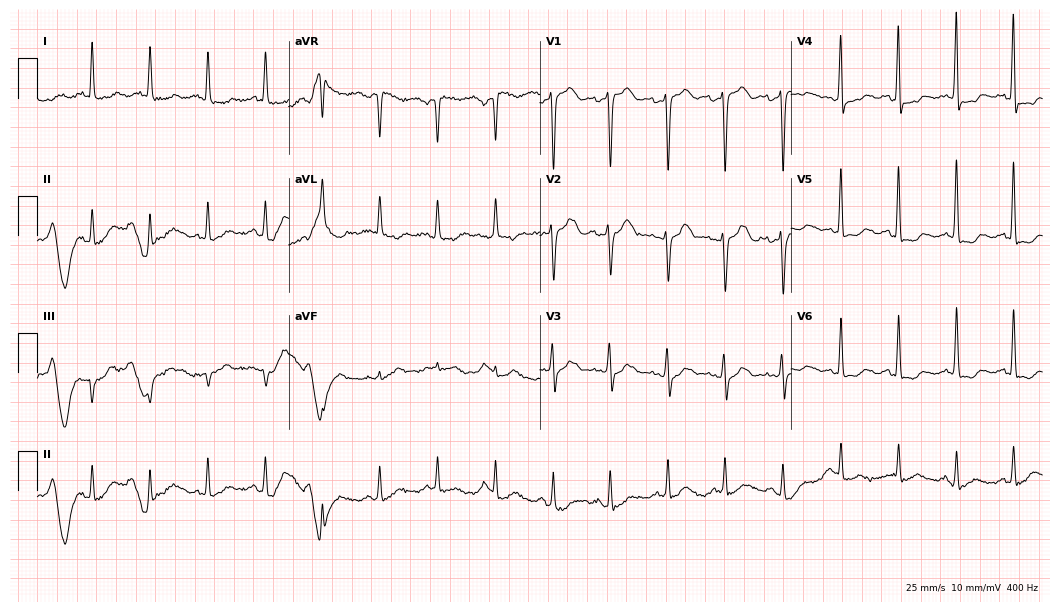
Standard 12-lead ECG recorded from a female, 68 years old. The tracing shows sinus tachycardia (a sinus rate of 100 beats per minute or more).